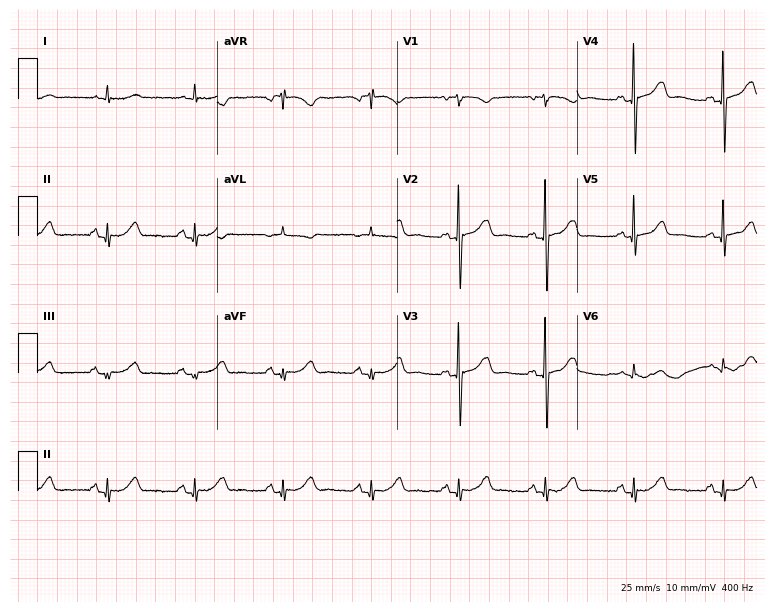
12-lead ECG from a female patient, 83 years old. No first-degree AV block, right bundle branch block, left bundle branch block, sinus bradycardia, atrial fibrillation or sinus tachycardia recorded for this tracing.